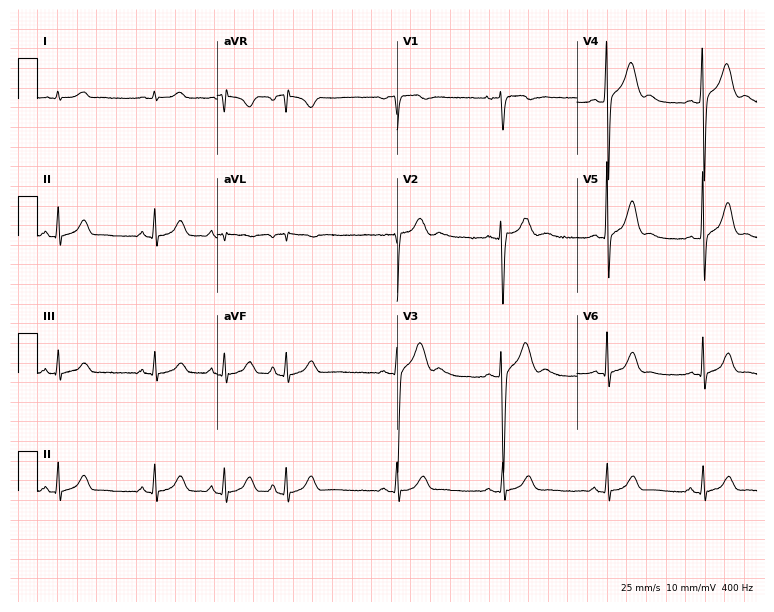
ECG — a 19-year-old man. Screened for six findings — first-degree AV block, right bundle branch block (RBBB), left bundle branch block (LBBB), sinus bradycardia, atrial fibrillation (AF), sinus tachycardia — none is recorded.